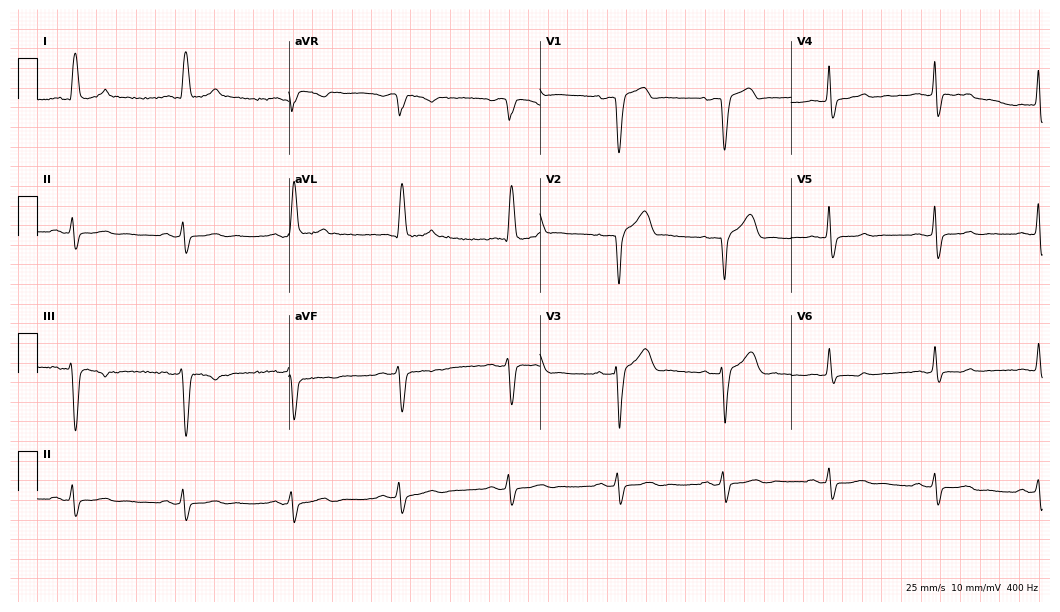
Electrocardiogram, a 59-year-old man. Of the six screened findings (first-degree AV block, right bundle branch block, left bundle branch block, sinus bradycardia, atrial fibrillation, sinus tachycardia), none is recorded.